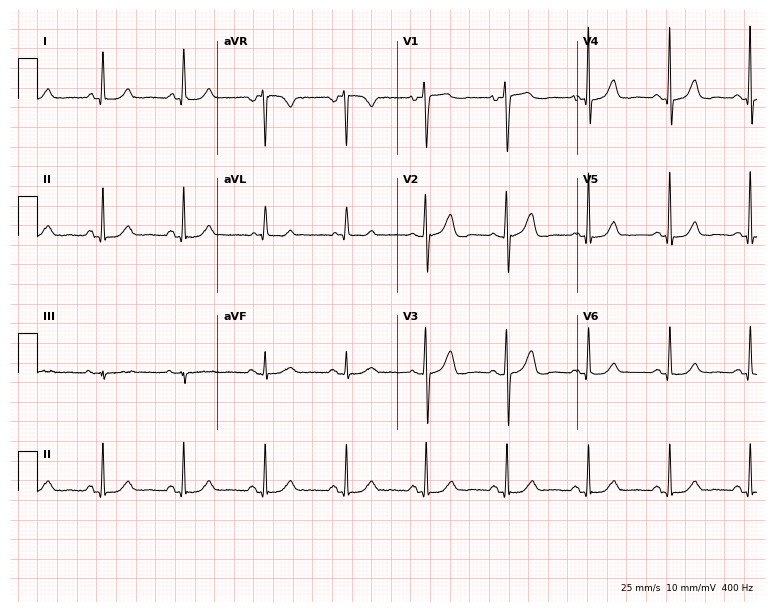
Resting 12-lead electrocardiogram. Patient: a female, 64 years old. Read as a normal ECG.